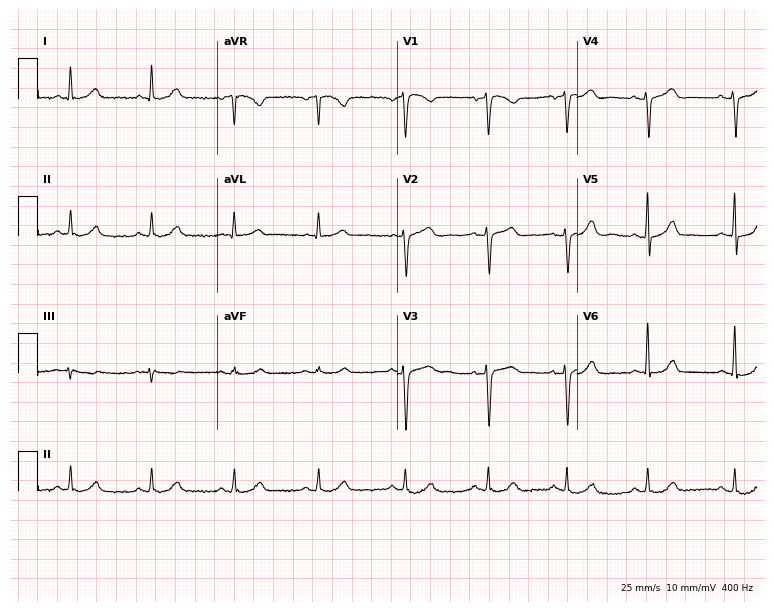
ECG — a 55-year-old female patient. Screened for six findings — first-degree AV block, right bundle branch block, left bundle branch block, sinus bradycardia, atrial fibrillation, sinus tachycardia — none is recorded.